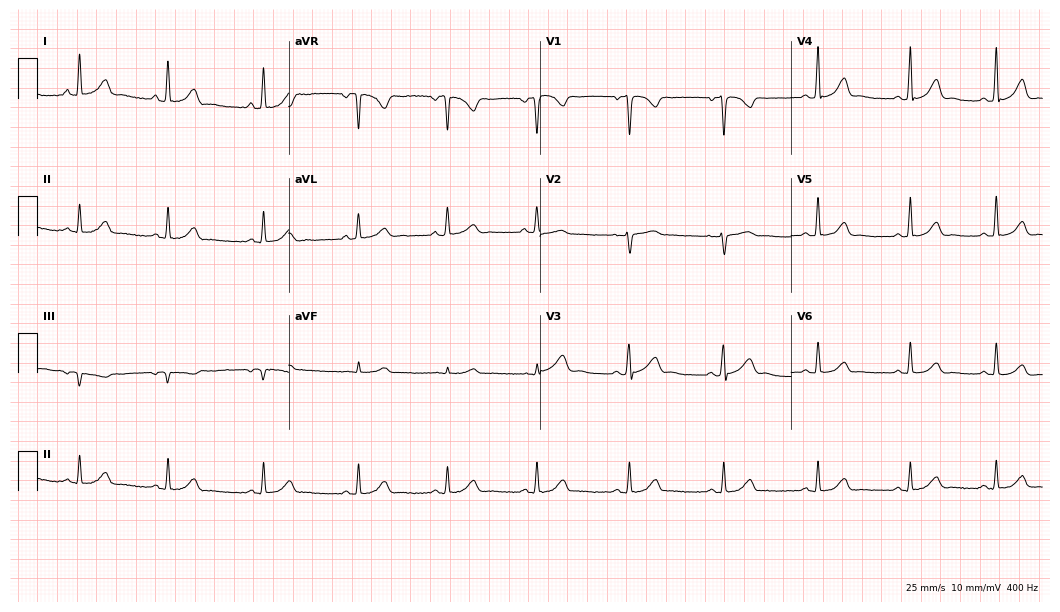
Electrocardiogram (10.2-second recording at 400 Hz), a woman, 30 years old. Of the six screened findings (first-degree AV block, right bundle branch block, left bundle branch block, sinus bradycardia, atrial fibrillation, sinus tachycardia), none is recorded. Only these six findings were labelled.